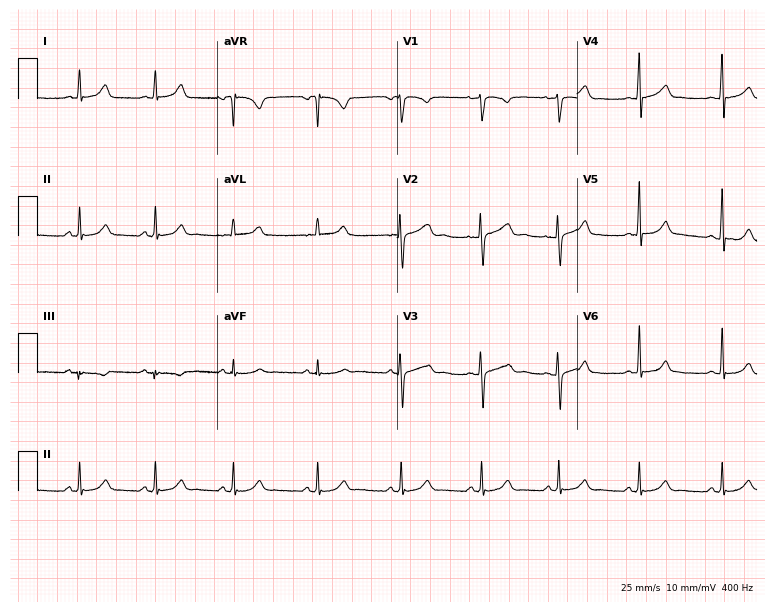
ECG — a 20-year-old female. Labelled as a normal ECG.